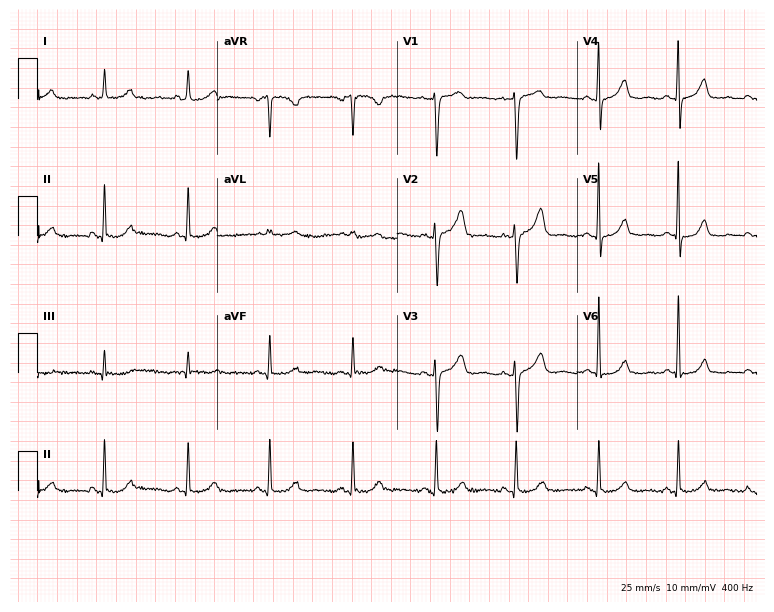
Standard 12-lead ECG recorded from a female, 66 years old. None of these six findings is recorded: first-degree AV block, right bundle branch block (RBBB), left bundle branch block (LBBB), sinus bradycardia, atrial fibrillation (AF), sinus tachycardia.